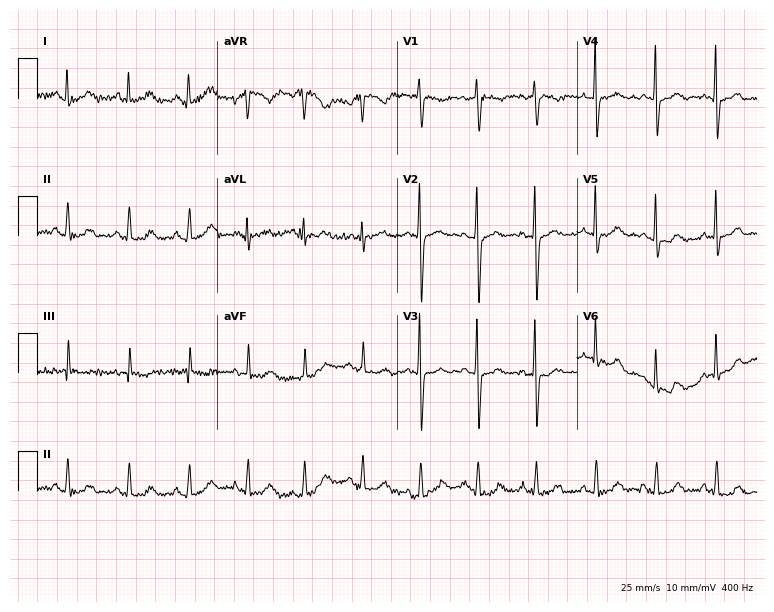
12-lead ECG from a female patient, 22 years old. Labelled as a normal ECG.